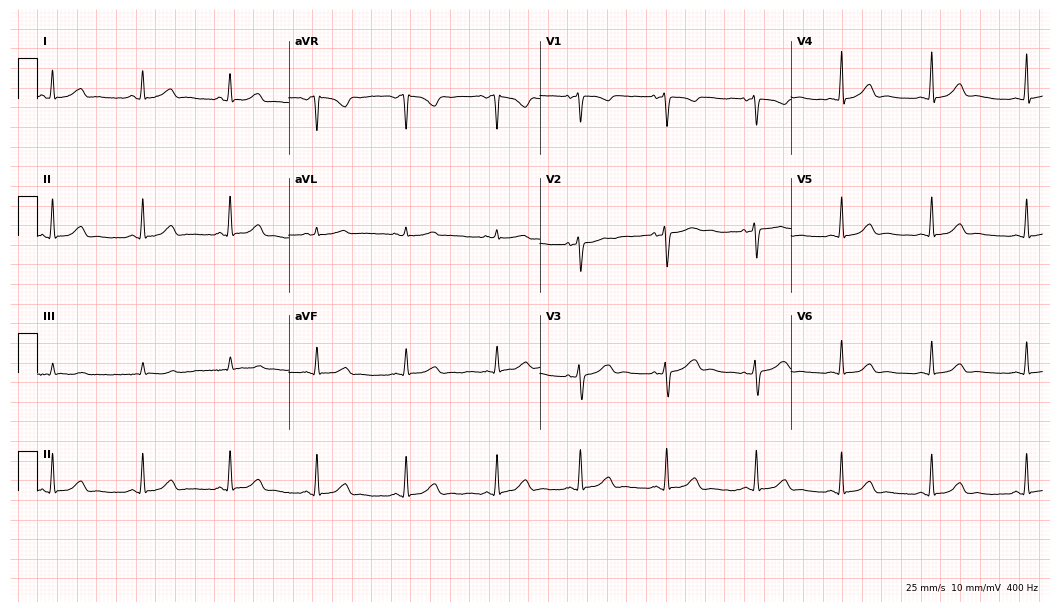
12-lead ECG from a woman, 37 years old (10.2-second recording at 400 Hz). Recorded interpretation: within normal limits.